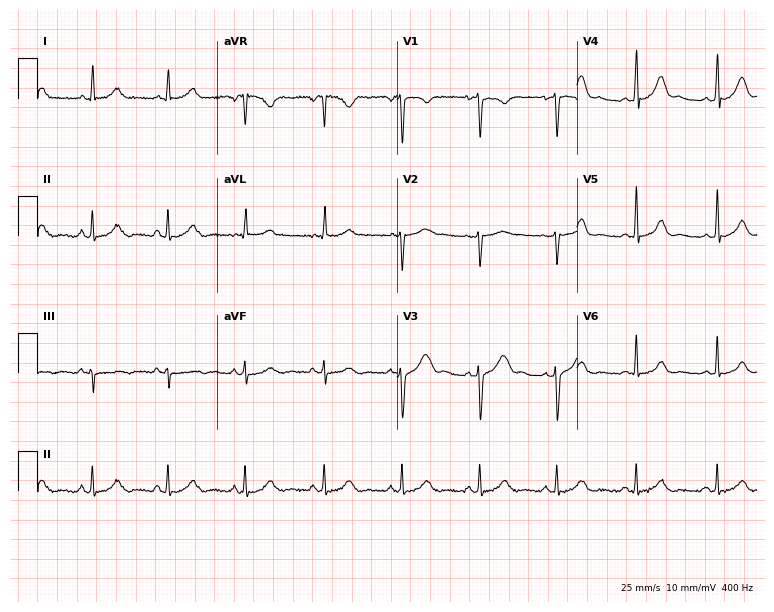
Electrocardiogram (7.3-second recording at 400 Hz), a female patient, 27 years old. Of the six screened findings (first-degree AV block, right bundle branch block (RBBB), left bundle branch block (LBBB), sinus bradycardia, atrial fibrillation (AF), sinus tachycardia), none is recorded. Findings outside these six are not listed.